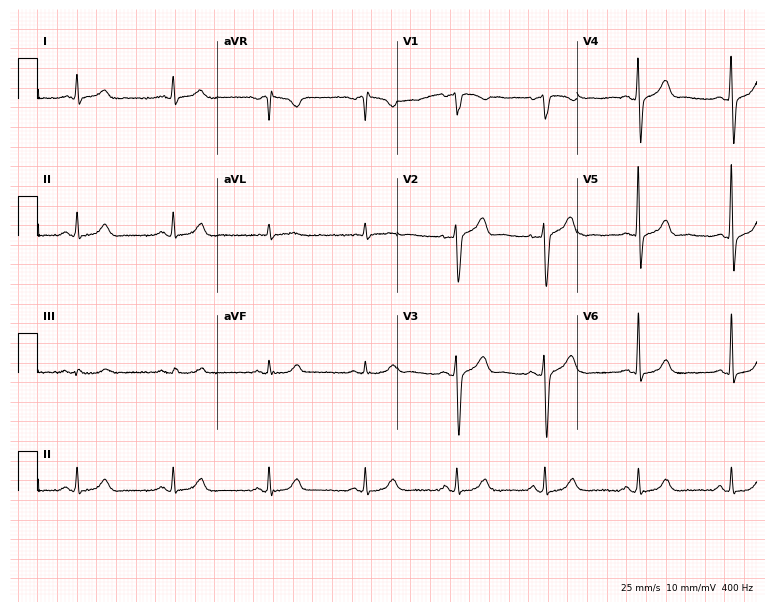
Electrocardiogram (7.3-second recording at 400 Hz), a 69-year-old male. Overall reading on record: normal ECG.